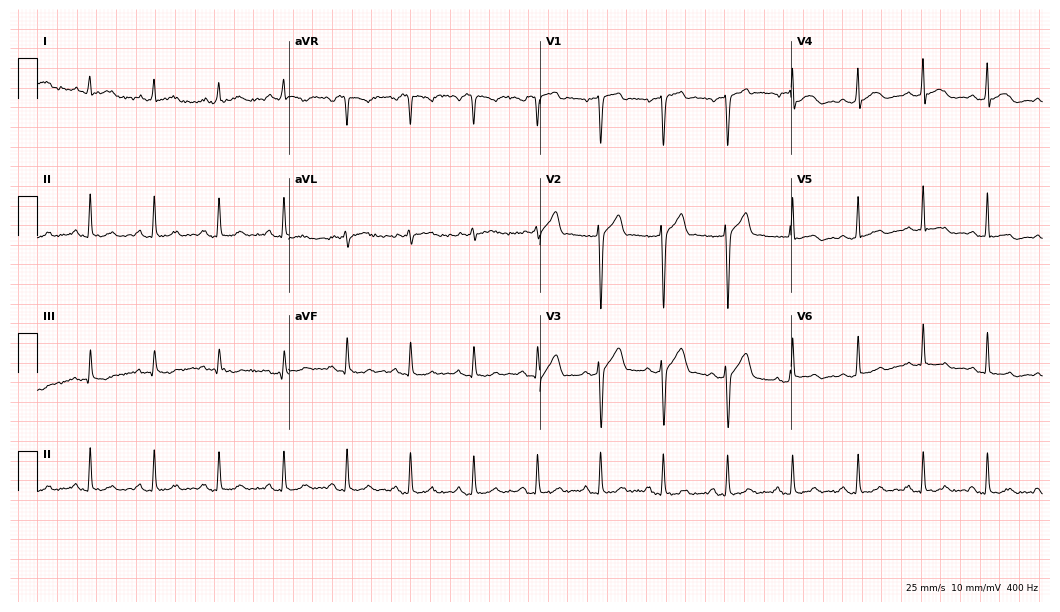
ECG — a 57-year-old man. Labelled as a normal ECG.